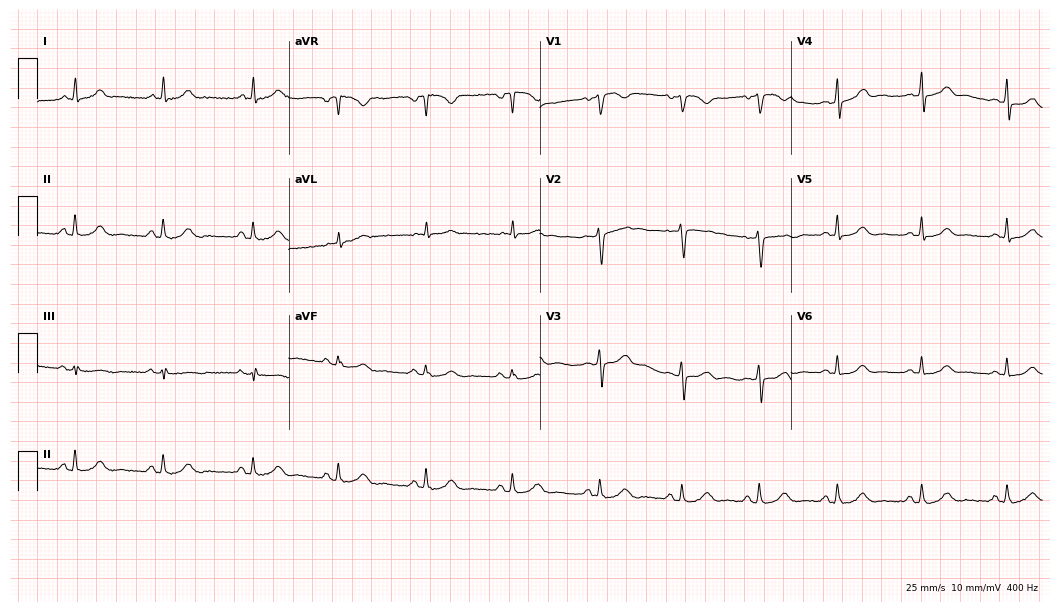
12-lead ECG (10.2-second recording at 400 Hz) from a woman, 41 years old. Screened for six findings — first-degree AV block, right bundle branch block, left bundle branch block, sinus bradycardia, atrial fibrillation, sinus tachycardia — none is recorded.